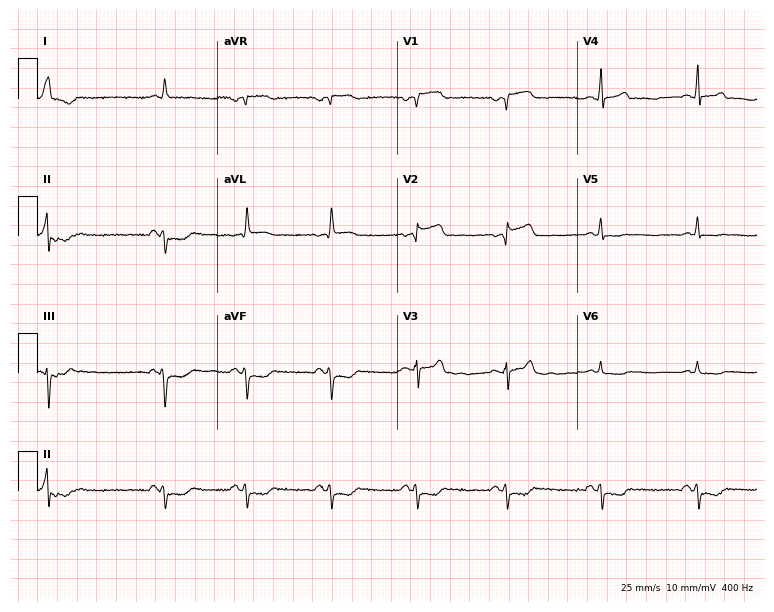
Electrocardiogram, a 55-year-old man. Of the six screened findings (first-degree AV block, right bundle branch block (RBBB), left bundle branch block (LBBB), sinus bradycardia, atrial fibrillation (AF), sinus tachycardia), none is recorded. Other findings, if any, are not listed.